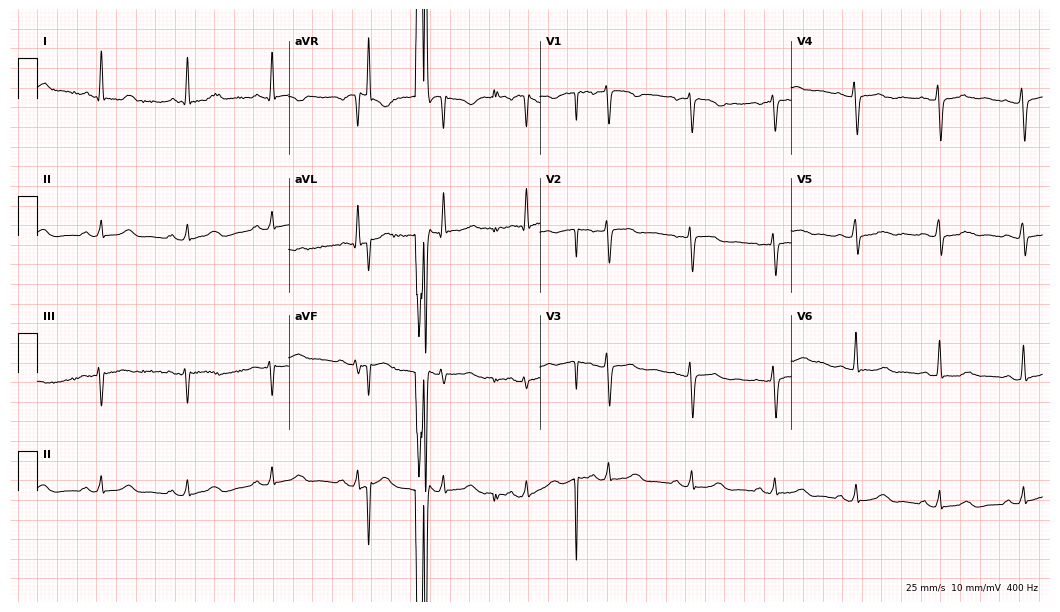
Electrocardiogram (10.2-second recording at 400 Hz), a female, 51 years old. Overall reading on record: normal ECG.